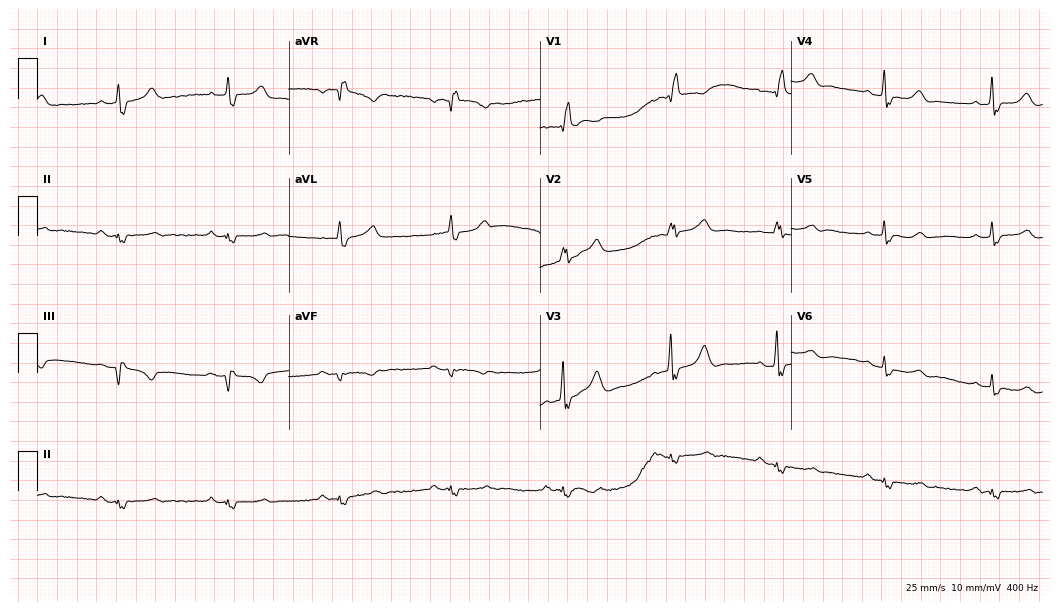
Standard 12-lead ECG recorded from a female patient, 54 years old (10.2-second recording at 400 Hz). The tracing shows right bundle branch block.